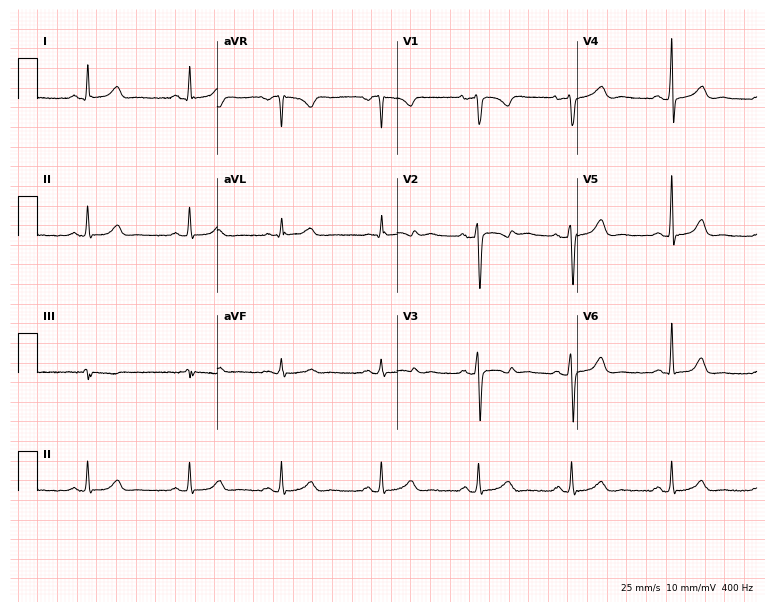
12-lead ECG from a female patient, 35 years old. Screened for six findings — first-degree AV block, right bundle branch block, left bundle branch block, sinus bradycardia, atrial fibrillation, sinus tachycardia — none is recorded.